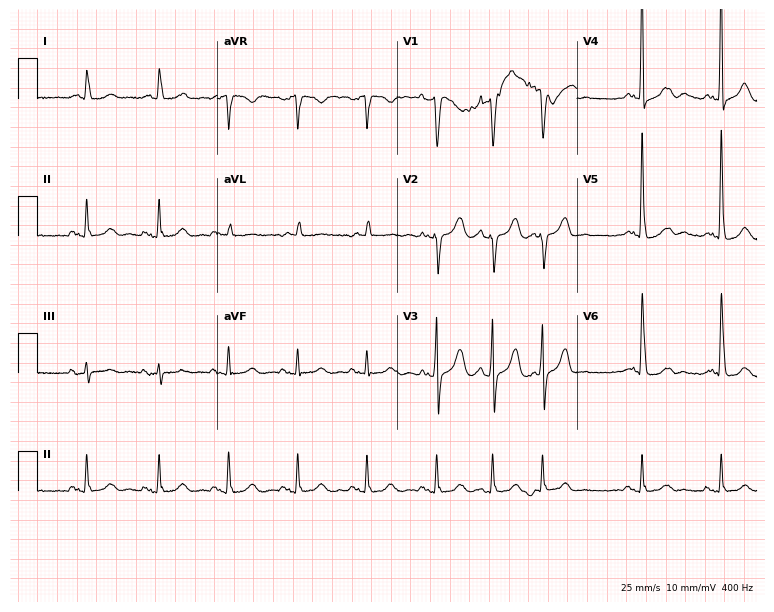
Standard 12-lead ECG recorded from a man, 82 years old. None of these six findings is recorded: first-degree AV block, right bundle branch block (RBBB), left bundle branch block (LBBB), sinus bradycardia, atrial fibrillation (AF), sinus tachycardia. Findings outside these six are not listed.